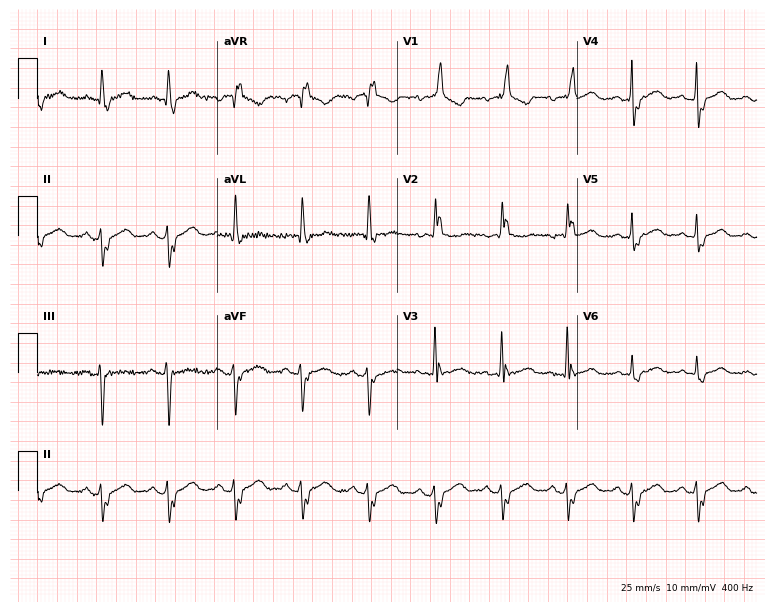
12-lead ECG from a 71-year-old female. Shows right bundle branch block.